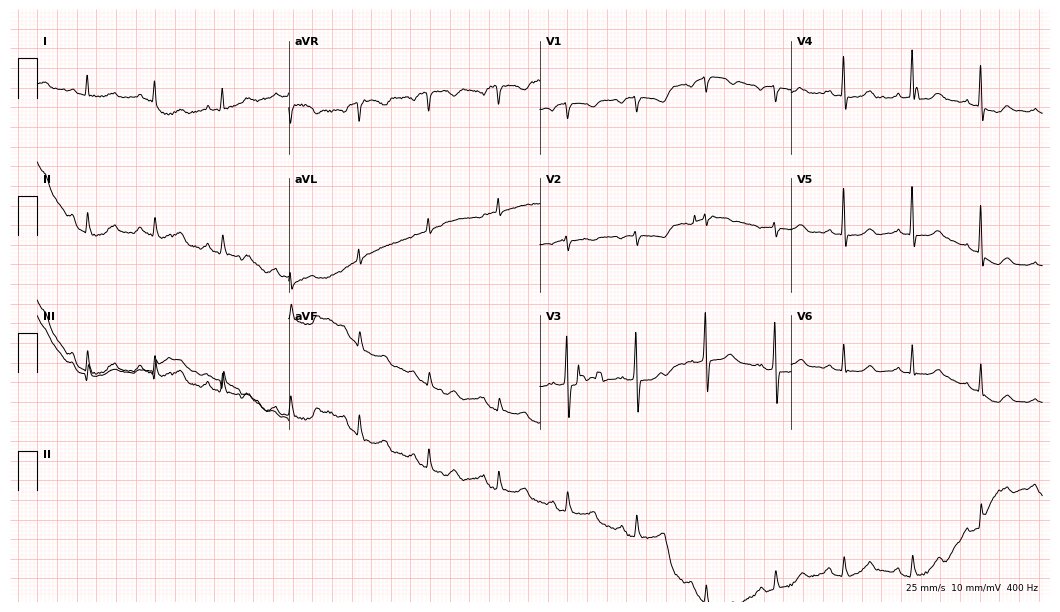
12-lead ECG from a 73-year-old female. Recorded interpretation: within normal limits.